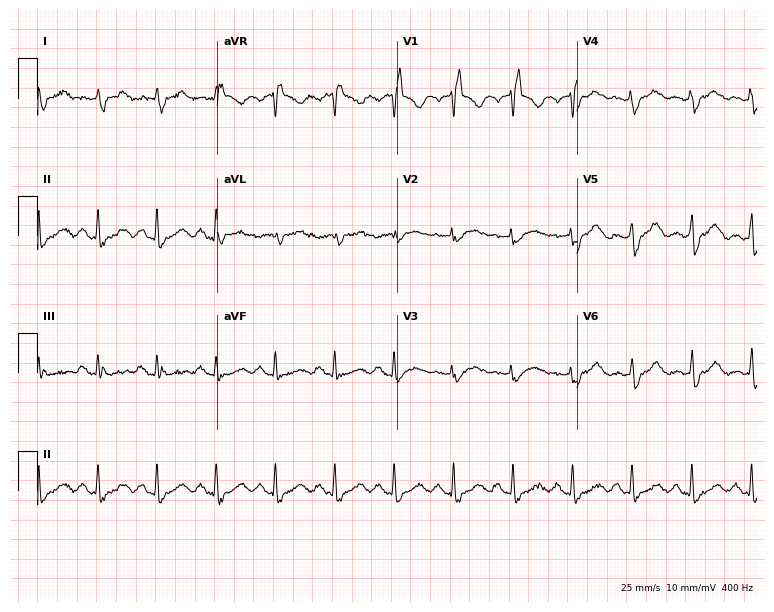
Standard 12-lead ECG recorded from a 69-year-old man. The tracing shows right bundle branch block.